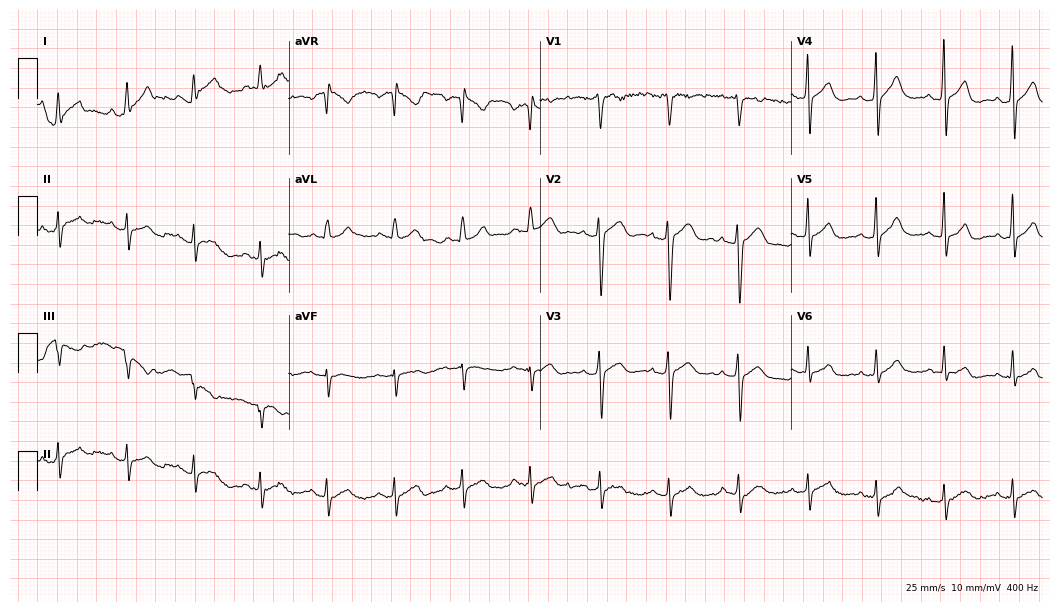
12-lead ECG from a male, 31 years old (10.2-second recording at 400 Hz). Recorded interpretation: within normal limits.